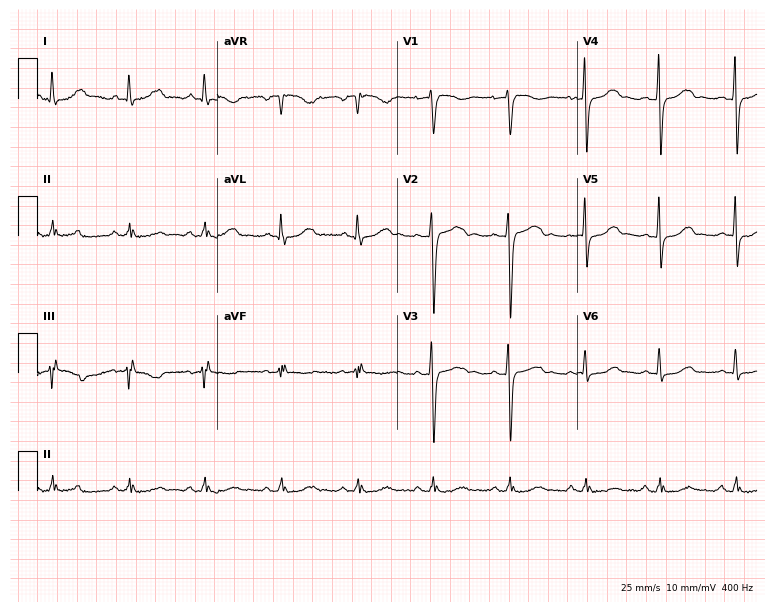
Resting 12-lead electrocardiogram. Patient: a female, 37 years old. None of these six findings is recorded: first-degree AV block, right bundle branch block (RBBB), left bundle branch block (LBBB), sinus bradycardia, atrial fibrillation (AF), sinus tachycardia. Only these six findings were labelled.